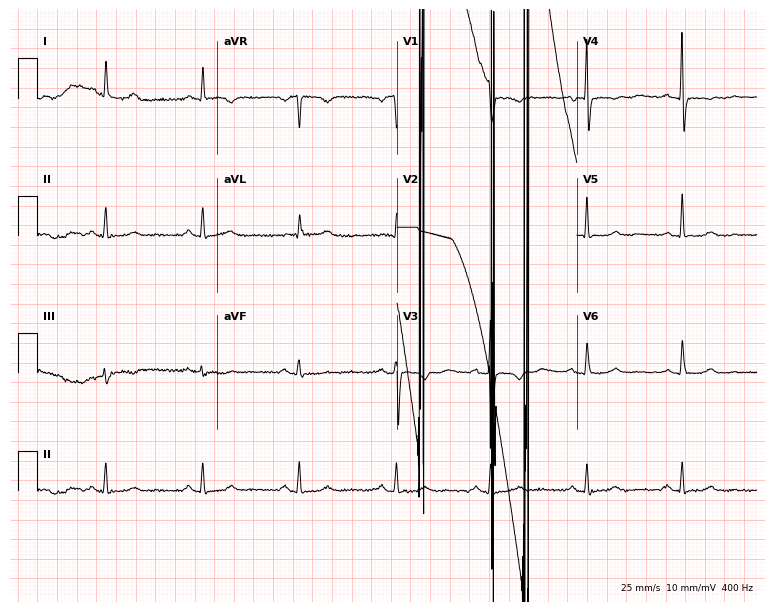
12-lead ECG from a female, 46 years old. Screened for six findings — first-degree AV block, right bundle branch block, left bundle branch block, sinus bradycardia, atrial fibrillation, sinus tachycardia — none is recorded. Findings outside these six are not listed.